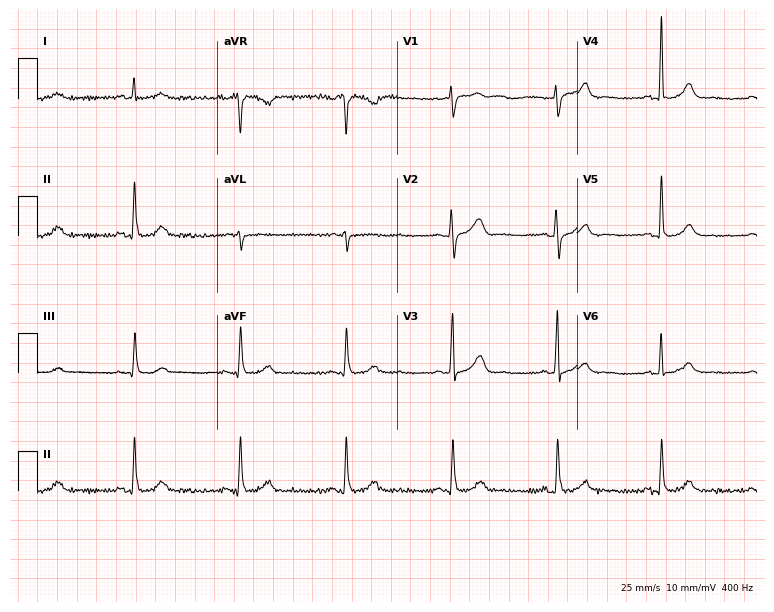
Standard 12-lead ECG recorded from a male, 63 years old. Read as a normal ECG.